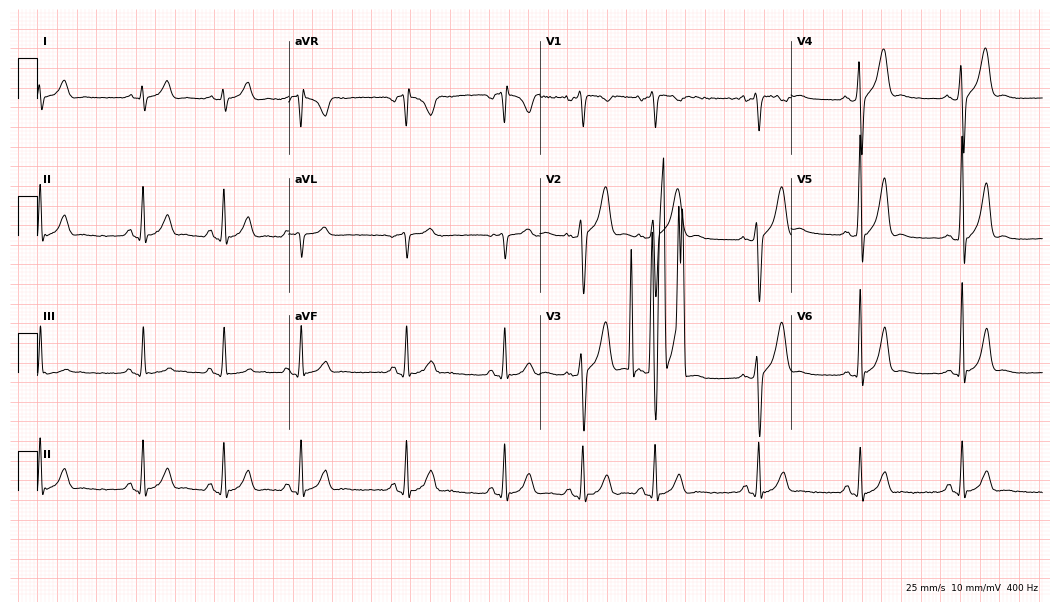
12-lead ECG from a 26-year-old male. No first-degree AV block, right bundle branch block, left bundle branch block, sinus bradycardia, atrial fibrillation or sinus tachycardia recorded for this tracing. Findings outside these six are not listed.